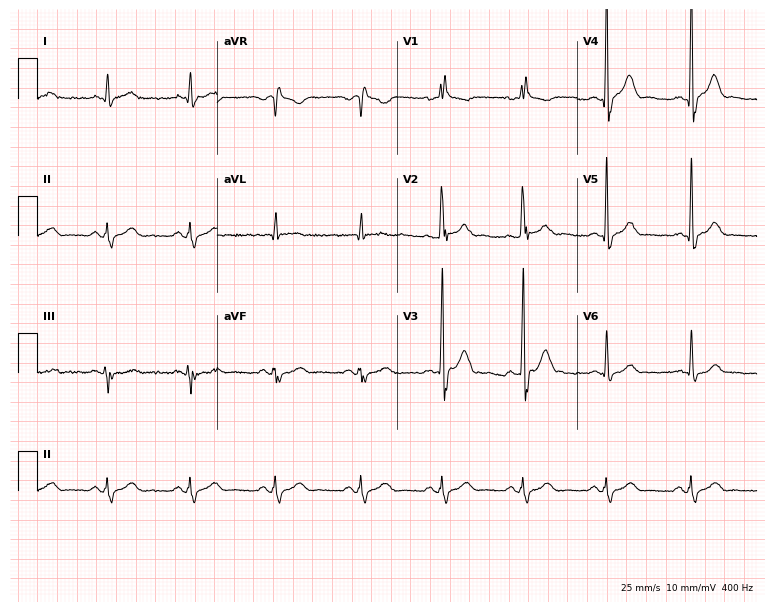
Standard 12-lead ECG recorded from a 37-year-old male (7.3-second recording at 400 Hz). None of these six findings is recorded: first-degree AV block, right bundle branch block, left bundle branch block, sinus bradycardia, atrial fibrillation, sinus tachycardia. Other findings, if any, are not listed.